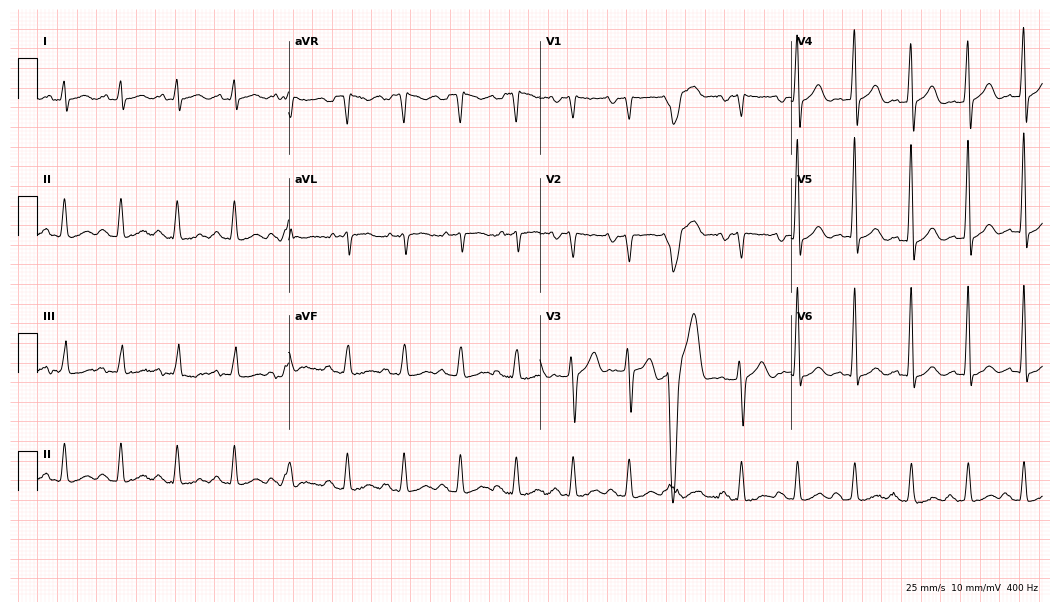
12-lead ECG from a male, 37 years old. Screened for six findings — first-degree AV block, right bundle branch block, left bundle branch block, sinus bradycardia, atrial fibrillation, sinus tachycardia — none is recorded.